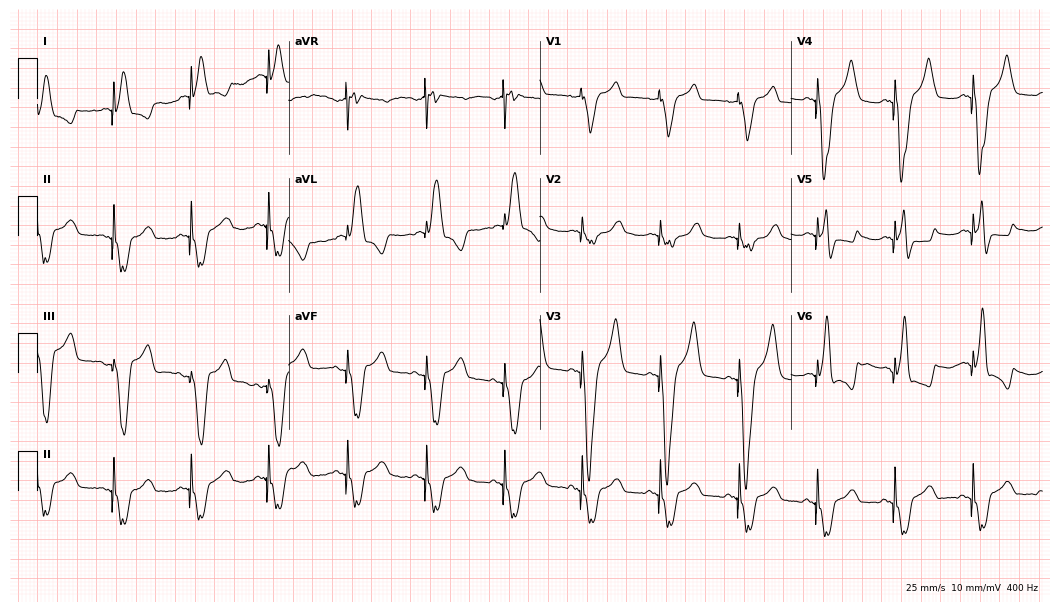
ECG — a 79-year-old woman. Screened for six findings — first-degree AV block, right bundle branch block, left bundle branch block, sinus bradycardia, atrial fibrillation, sinus tachycardia — none is recorded. Only these six findings were labelled.